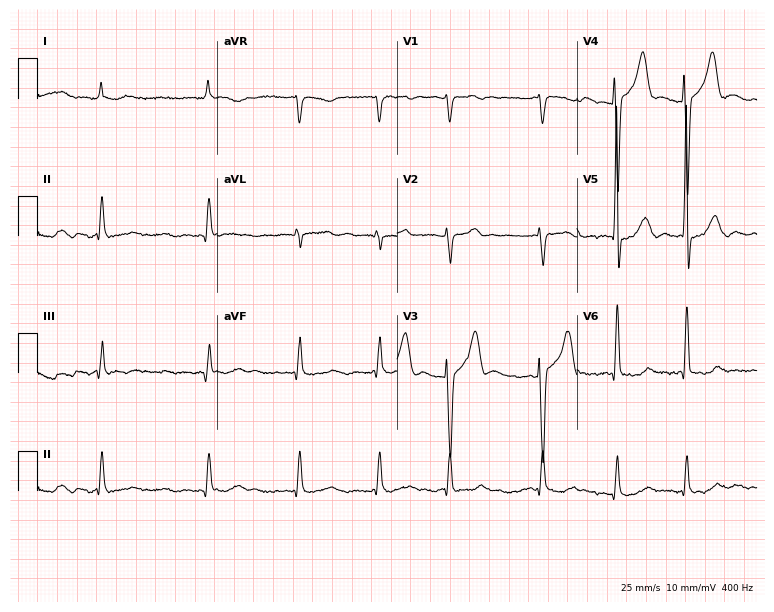
Standard 12-lead ECG recorded from a 73-year-old male. The tracing shows atrial fibrillation (AF).